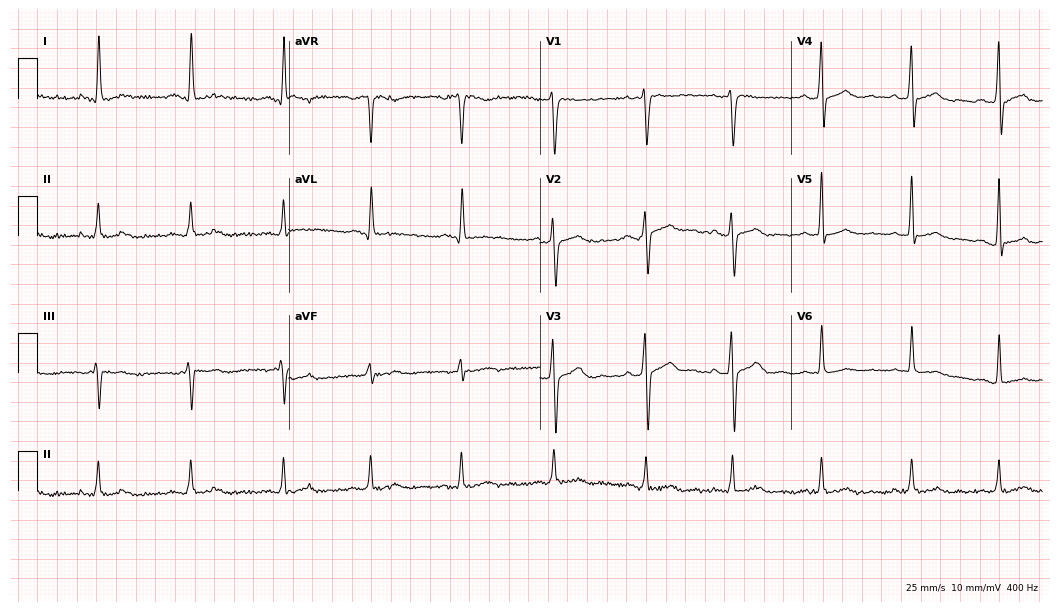
12-lead ECG from a male, 26 years old. No first-degree AV block, right bundle branch block (RBBB), left bundle branch block (LBBB), sinus bradycardia, atrial fibrillation (AF) or sinus tachycardia recorded for this tracing. Findings outside these six are not listed.